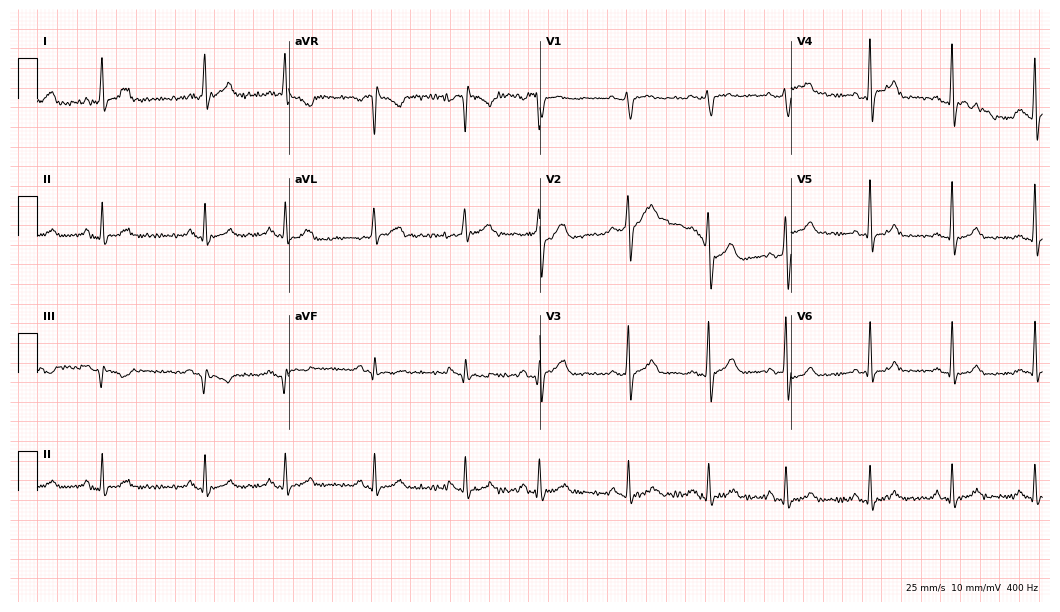
Resting 12-lead electrocardiogram. Patient: a woman, 33 years old. Read as a normal ECG.